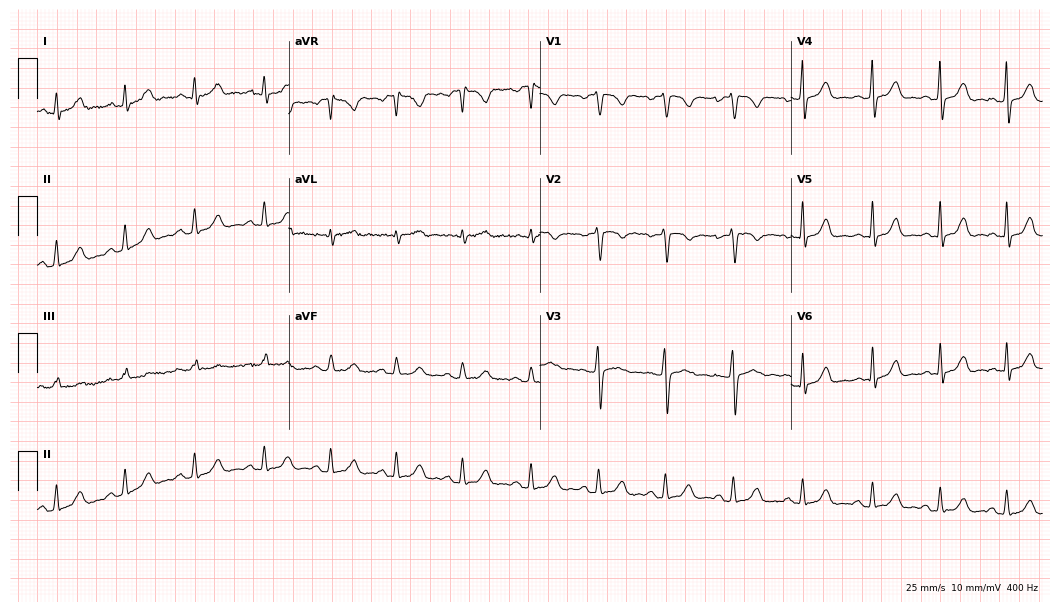
Resting 12-lead electrocardiogram. Patient: a 29-year-old woman. None of these six findings is recorded: first-degree AV block, right bundle branch block (RBBB), left bundle branch block (LBBB), sinus bradycardia, atrial fibrillation (AF), sinus tachycardia.